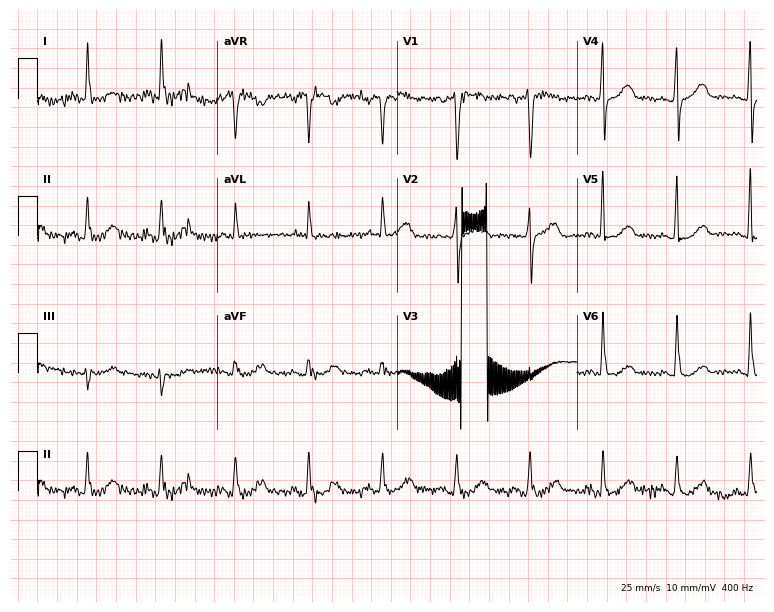
ECG (7.3-second recording at 400 Hz) — a 56-year-old female patient. Screened for six findings — first-degree AV block, right bundle branch block, left bundle branch block, sinus bradycardia, atrial fibrillation, sinus tachycardia — none is recorded. Only these six findings were labelled.